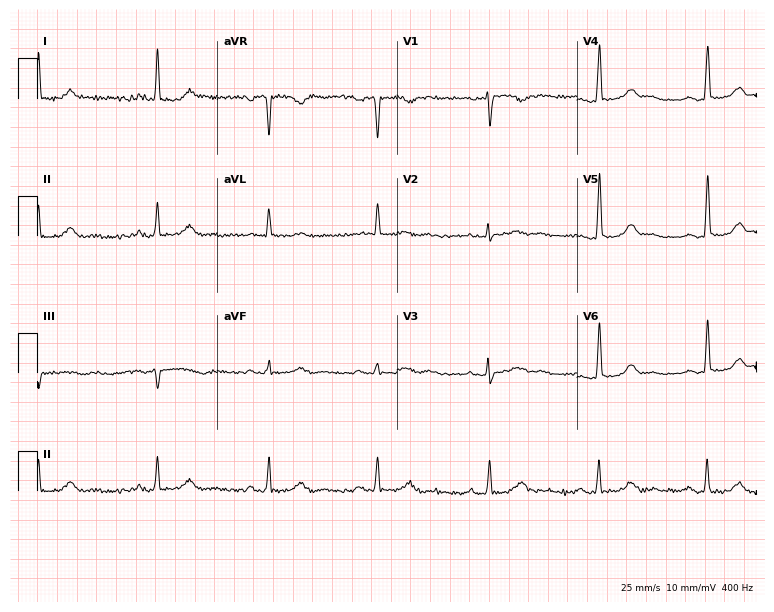
Electrocardiogram, a 56-year-old female patient. Interpretation includes first-degree AV block.